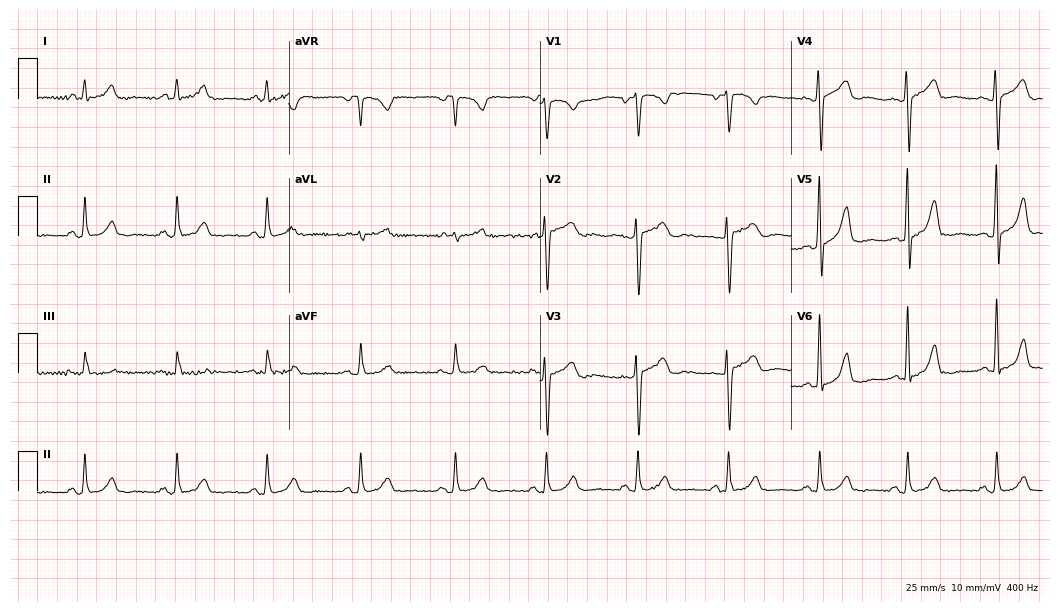
12-lead ECG from a woman, 56 years old (10.2-second recording at 400 Hz). Recorded interpretation: within normal limits.